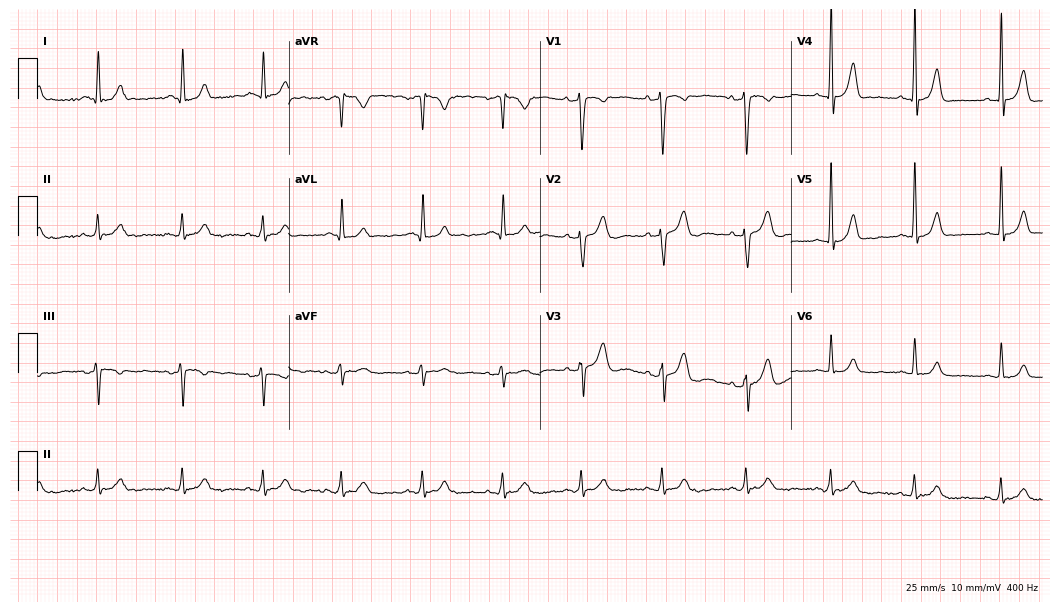
12-lead ECG from a 42-year-old male. Screened for six findings — first-degree AV block, right bundle branch block, left bundle branch block, sinus bradycardia, atrial fibrillation, sinus tachycardia — none is recorded.